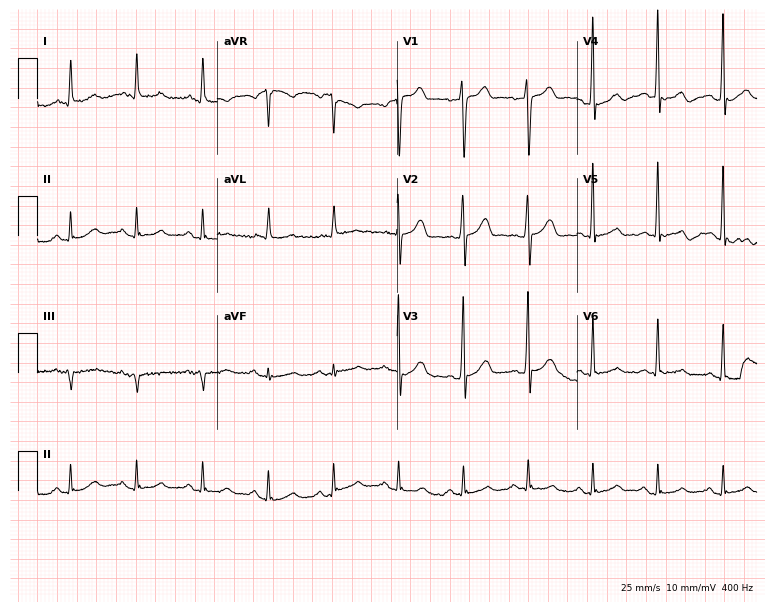
ECG (7.3-second recording at 400 Hz) — a 62-year-old male. Labelled as a normal ECG.